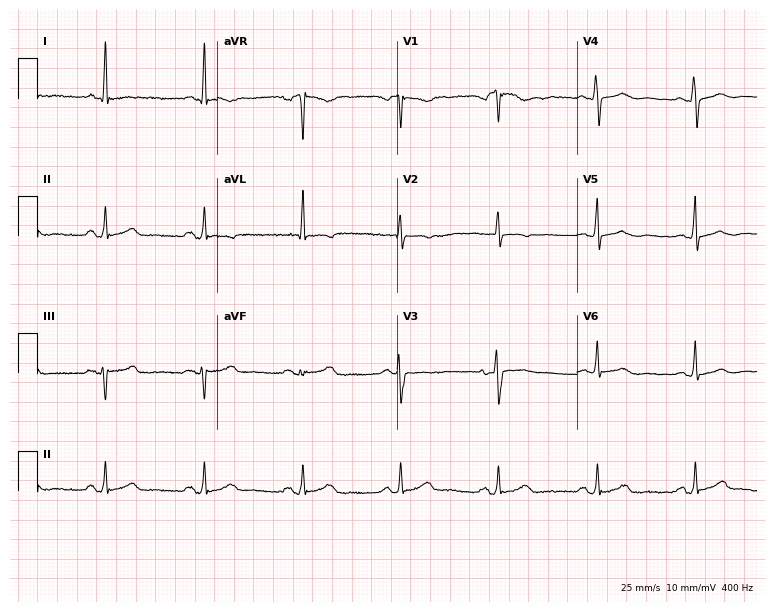
Electrocardiogram (7.3-second recording at 400 Hz), a 76-year-old female. Of the six screened findings (first-degree AV block, right bundle branch block, left bundle branch block, sinus bradycardia, atrial fibrillation, sinus tachycardia), none is recorded. Only these six findings were labelled.